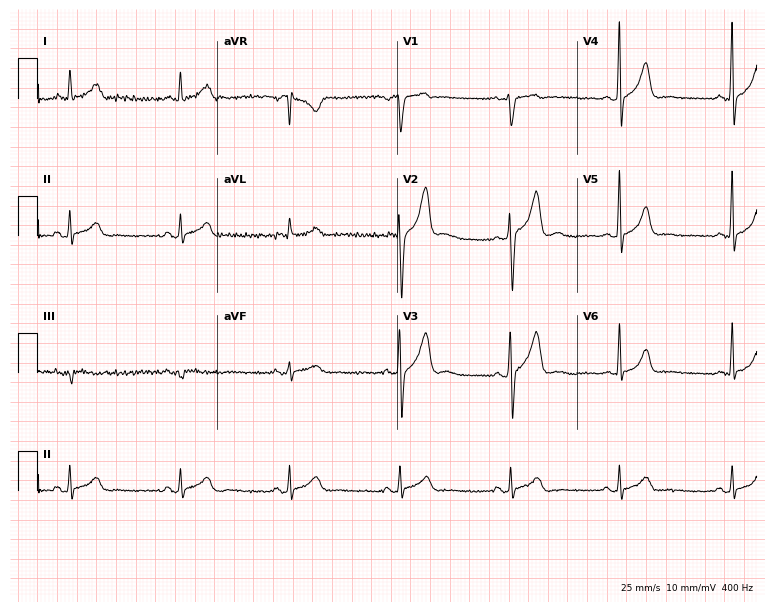
12-lead ECG from a 43-year-old male patient. Labelled as a normal ECG.